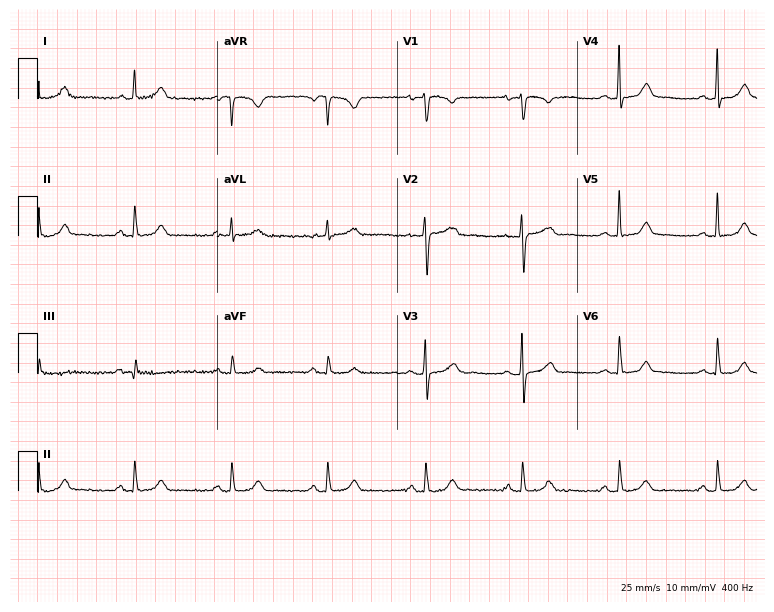
Resting 12-lead electrocardiogram (7.3-second recording at 400 Hz). Patient: a female, 55 years old. None of these six findings is recorded: first-degree AV block, right bundle branch block, left bundle branch block, sinus bradycardia, atrial fibrillation, sinus tachycardia. Only these six findings were labelled.